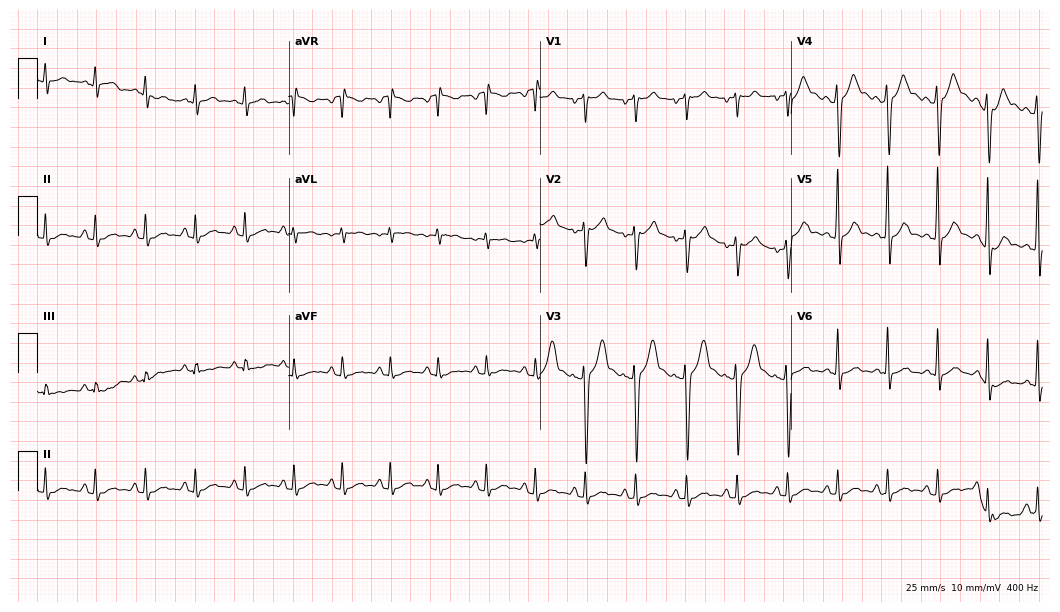
Standard 12-lead ECG recorded from a 27-year-old male (10.2-second recording at 400 Hz). The tracing shows sinus tachycardia (a sinus rate of 100 beats per minute or more).